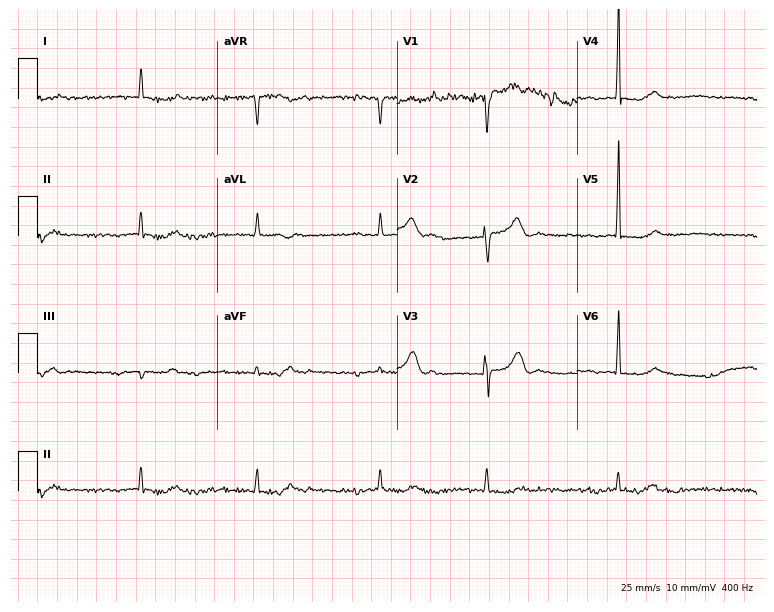
Resting 12-lead electrocardiogram. Patient: an 83-year-old man. None of these six findings is recorded: first-degree AV block, right bundle branch block, left bundle branch block, sinus bradycardia, atrial fibrillation, sinus tachycardia. Only these six findings were labelled.